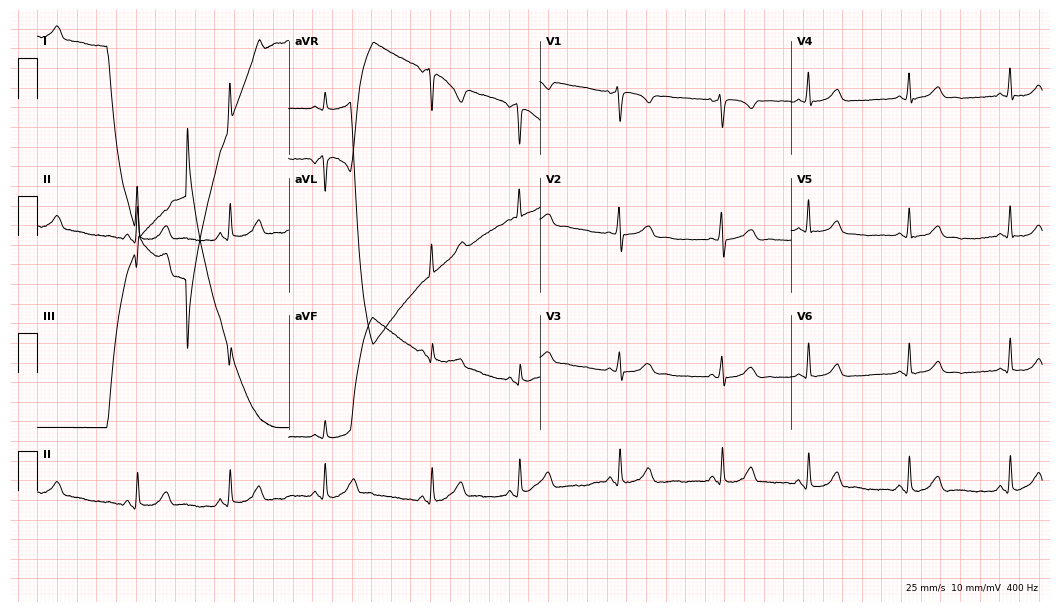
Resting 12-lead electrocardiogram (10.2-second recording at 400 Hz). Patient: a female, 39 years old. Read as a normal ECG.